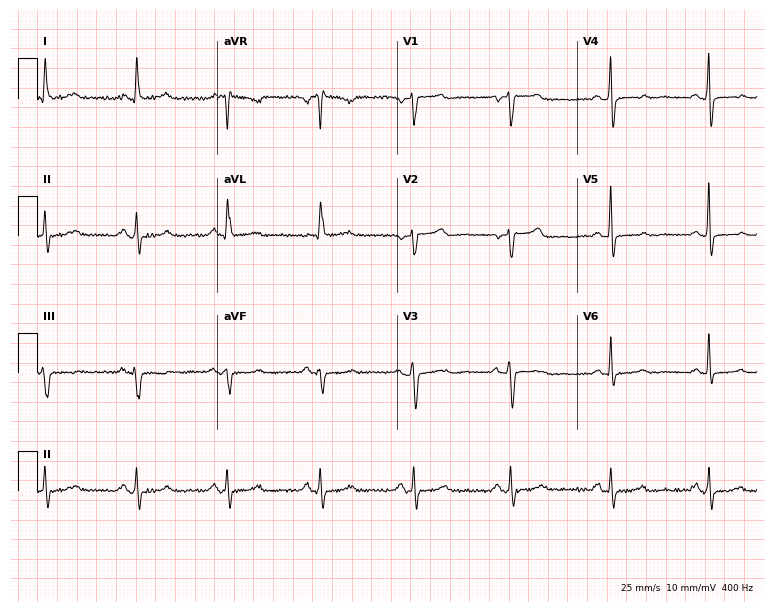
Resting 12-lead electrocardiogram (7.3-second recording at 400 Hz). Patient: a 74-year-old woman. None of these six findings is recorded: first-degree AV block, right bundle branch block, left bundle branch block, sinus bradycardia, atrial fibrillation, sinus tachycardia.